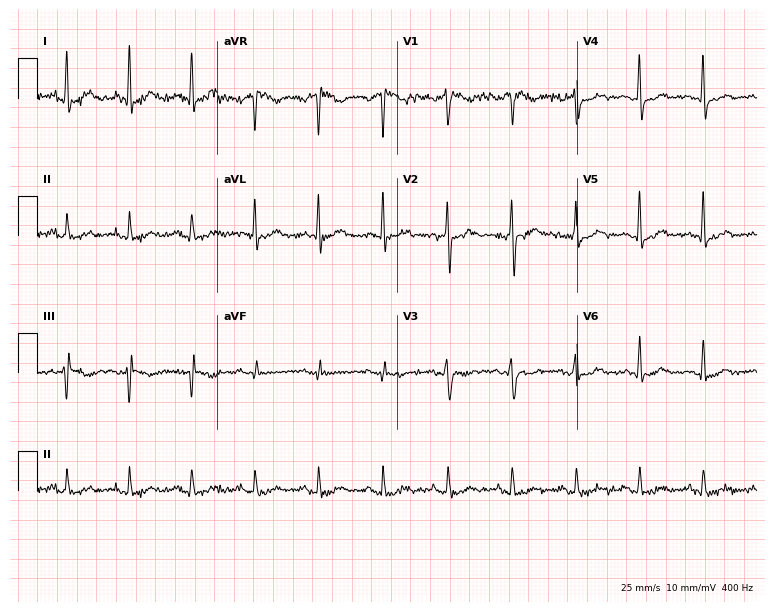
12-lead ECG (7.3-second recording at 400 Hz) from a man, 48 years old. Labelled as a normal ECG.